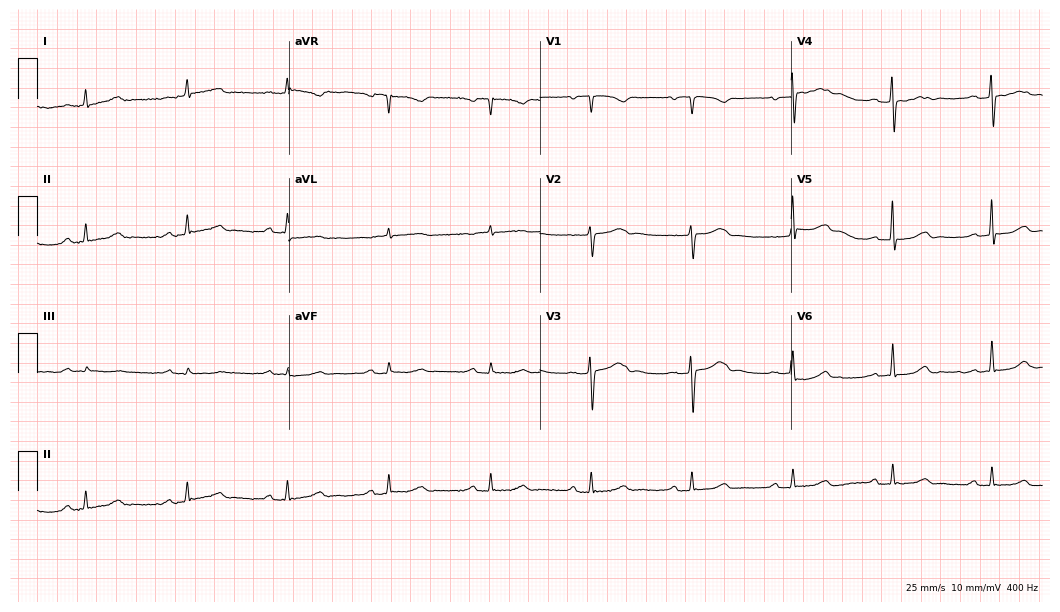
Standard 12-lead ECG recorded from an 80-year-old woman (10.2-second recording at 400 Hz). Read as a normal ECG.